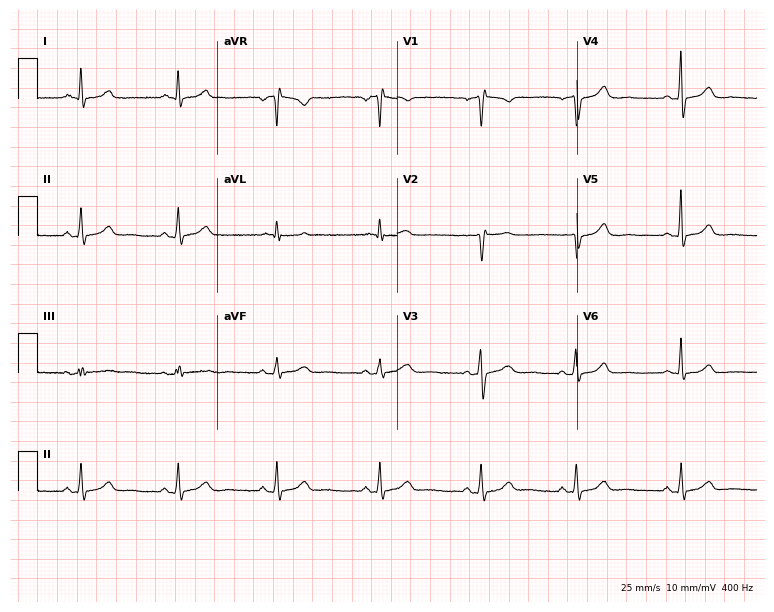
12-lead ECG (7.3-second recording at 400 Hz) from a 55-year-old female. Screened for six findings — first-degree AV block, right bundle branch block, left bundle branch block, sinus bradycardia, atrial fibrillation, sinus tachycardia — none is recorded. Other findings, if any, are not listed.